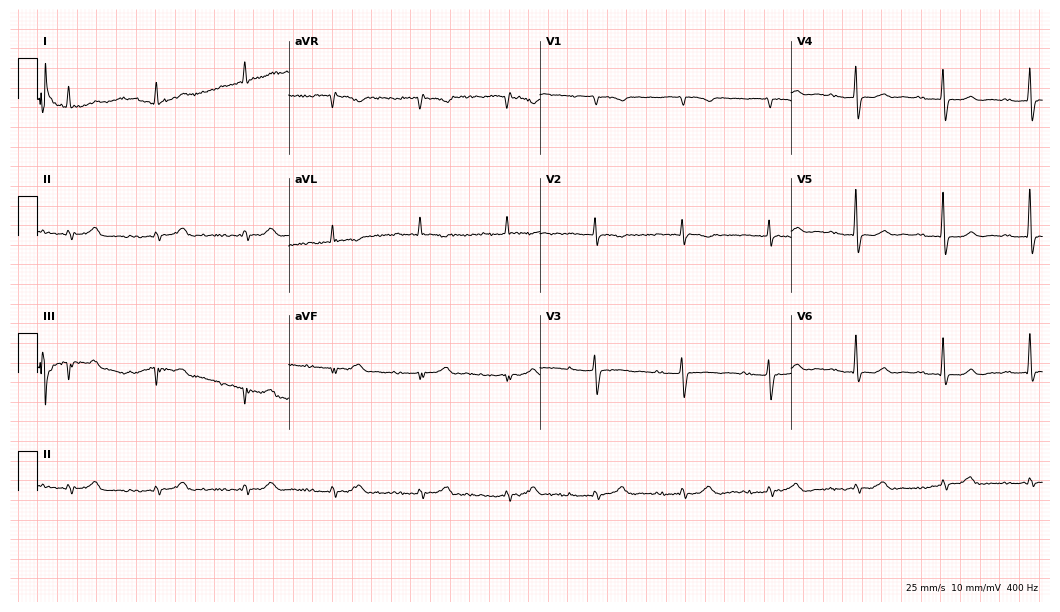
Electrocardiogram (10.2-second recording at 400 Hz), a man, 83 years old. Of the six screened findings (first-degree AV block, right bundle branch block (RBBB), left bundle branch block (LBBB), sinus bradycardia, atrial fibrillation (AF), sinus tachycardia), none is recorded.